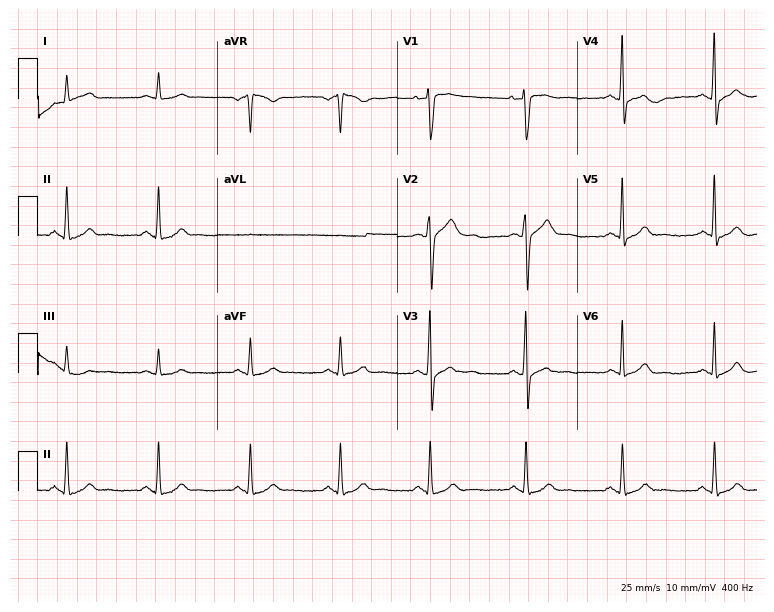
Resting 12-lead electrocardiogram (7.3-second recording at 400 Hz). Patient: a 37-year-old male. None of these six findings is recorded: first-degree AV block, right bundle branch block, left bundle branch block, sinus bradycardia, atrial fibrillation, sinus tachycardia. Other findings, if any, are not listed.